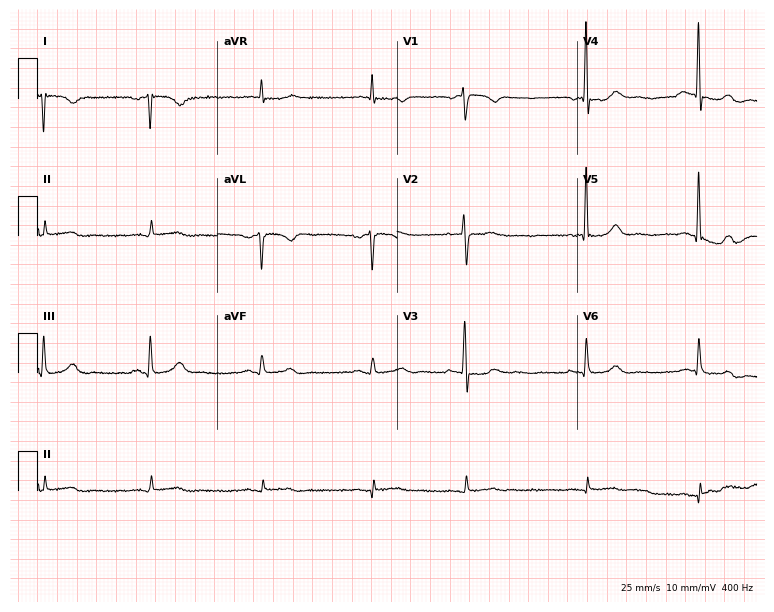
12-lead ECG from a 71-year-old female (7.3-second recording at 400 Hz). No first-degree AV block, right bundle branch block, left bundle branch block, sinus bradycardia, atrial fibrillation or sinus tachycardia recorded for this tracing. Other findings, if any, are not listed.